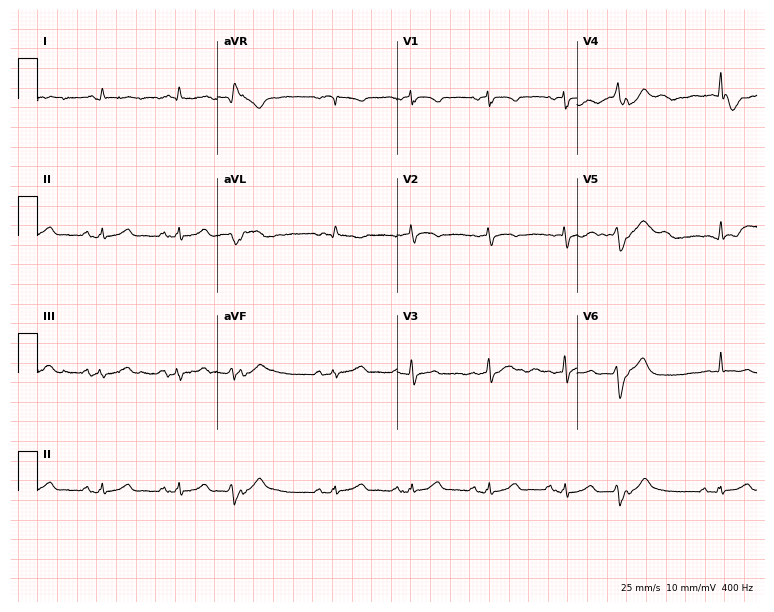
Standard 12-lead ECG recorded from a man, 83 years old. None of these six findings is recorded: first-degree AV block, right bundle branch block, left bundle branch block, sinus bradycardia, atrial fibrillation, sinus tachycardia. Only these six findings were labelled.